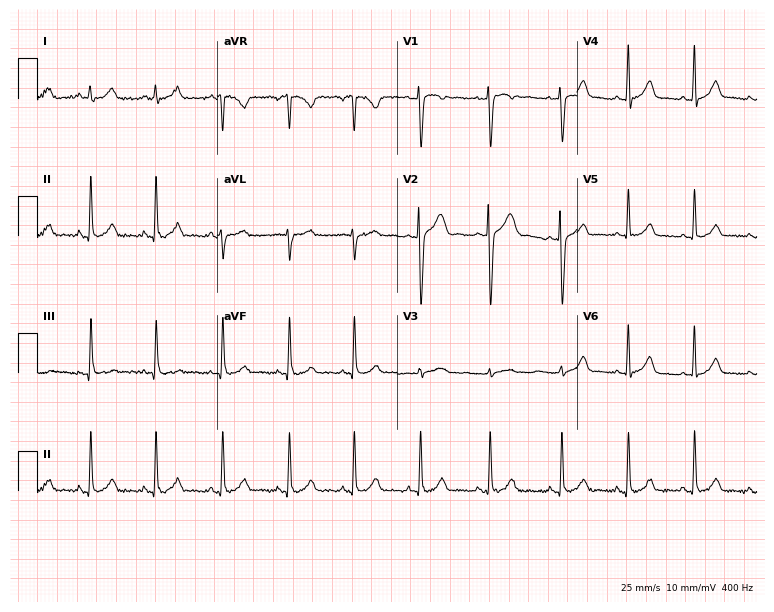
12-lead ECG from a 23-year-old female. Recorded interpretation: within normal limits.